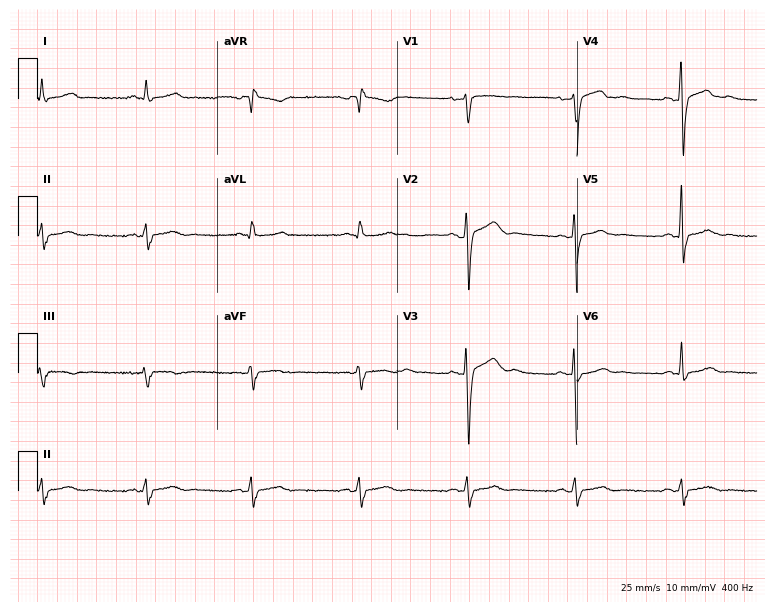
Resting 12-lead electrocardiogram (7.3-second recording at 400 Hz). Patient: a man, 58 years old. Read as a normal ECG.